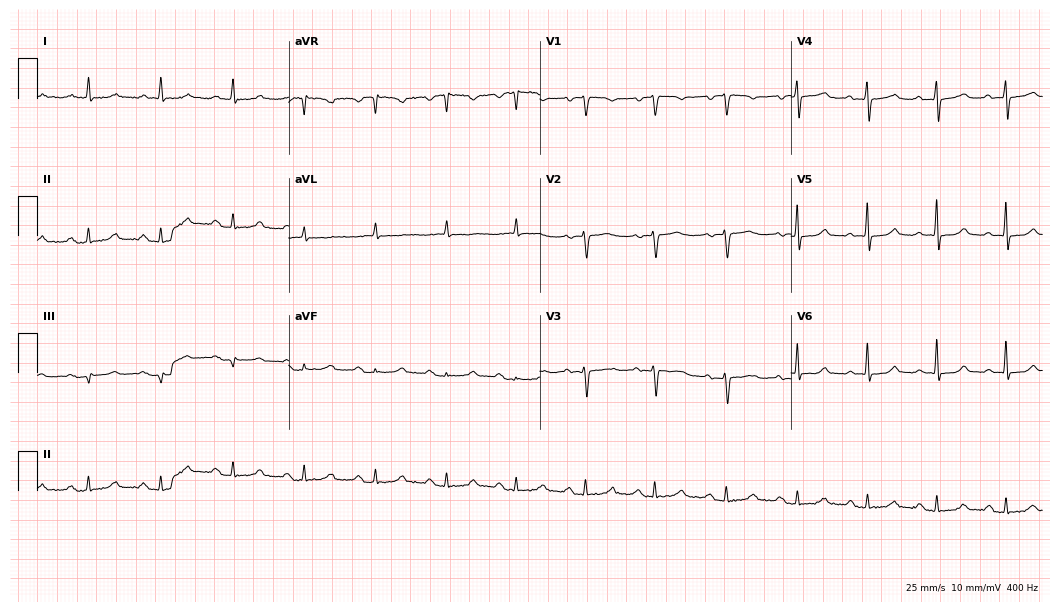
12-lead ECG from a female, 71 years old (10.2-second recording at 400 Hz). Recorded interpretation: within normal limits.